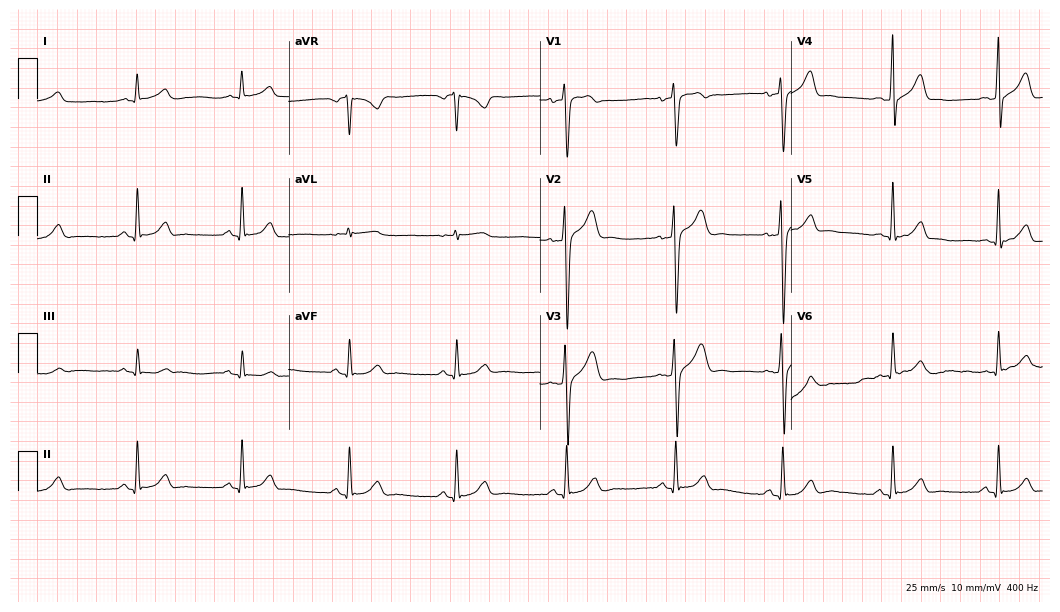
Resting 12-lead electrocardiogram (10.2-second recording at 400 Hz). Patient: a 31-year-old male. None of these six findings is recorded: first-degree AV block, right bundle branch block, left bundle branch block, sinus bradycardia, atrial fibrillation, sinus tachycardia. Only these six findings were labelled.